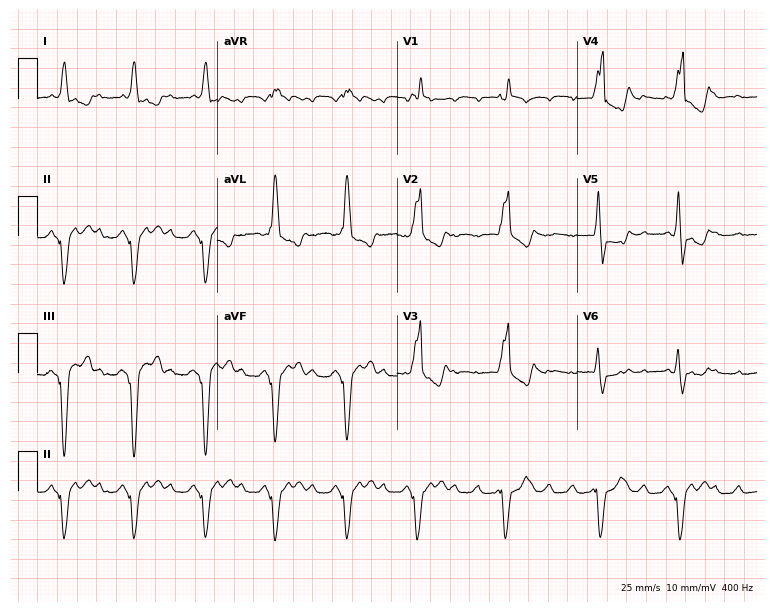
ECG — a 78-year-old male. Findings include right bundle branch block.